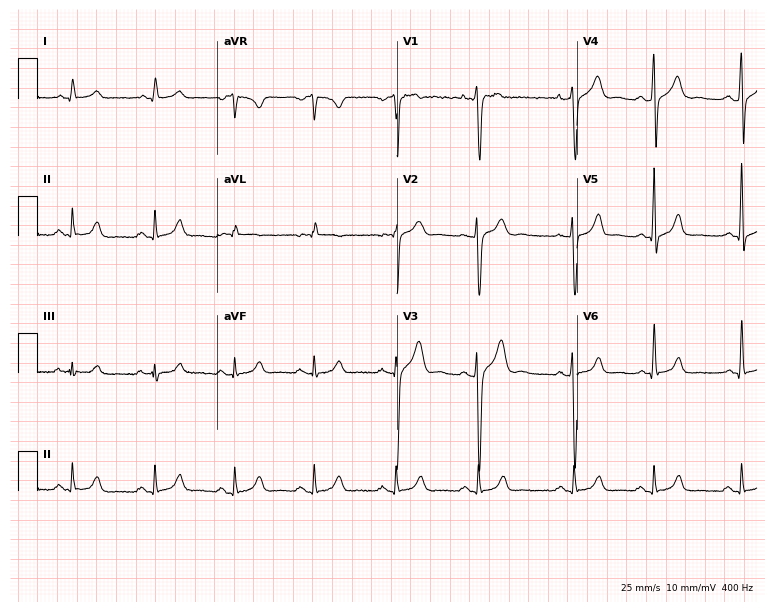
Resting 12-lead electrocardiogram. Patient: a 21-year-old male. Read as a normal ECG.